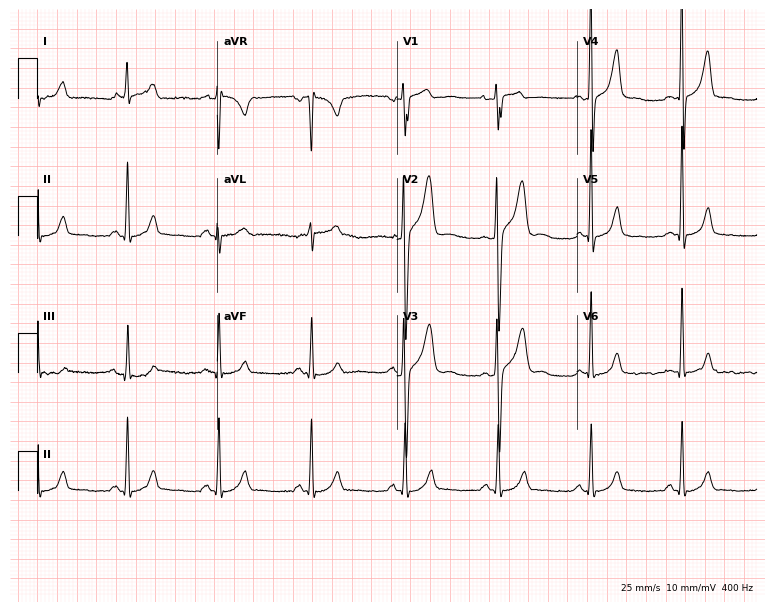
12-lead ECG from a 38-year-old male patient. No first-degree AV block, right bundle branch block, left bundle branch block, sinus bradycardia, atrial fibrillation or sinus tachycardia recorded for this tracing. Other findings, if any, are not listed.